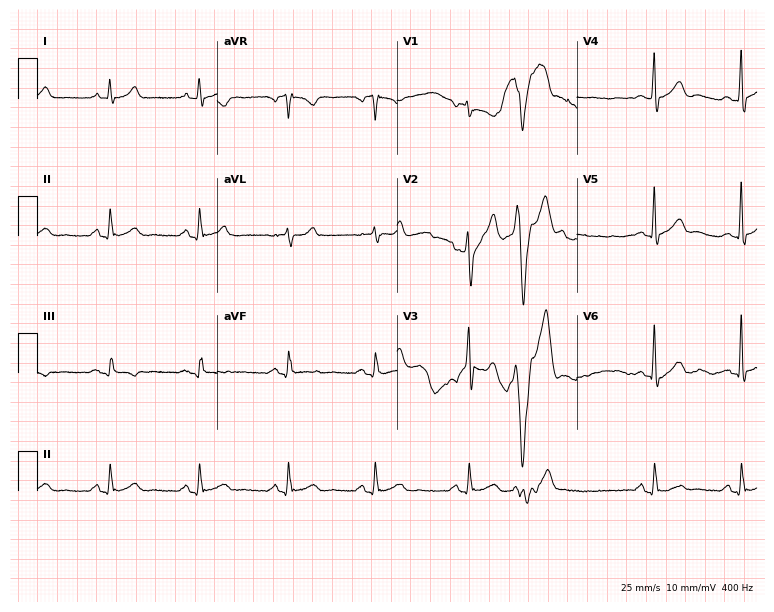
ECG — a 47-year-old male. Labelled as a normal ECG.